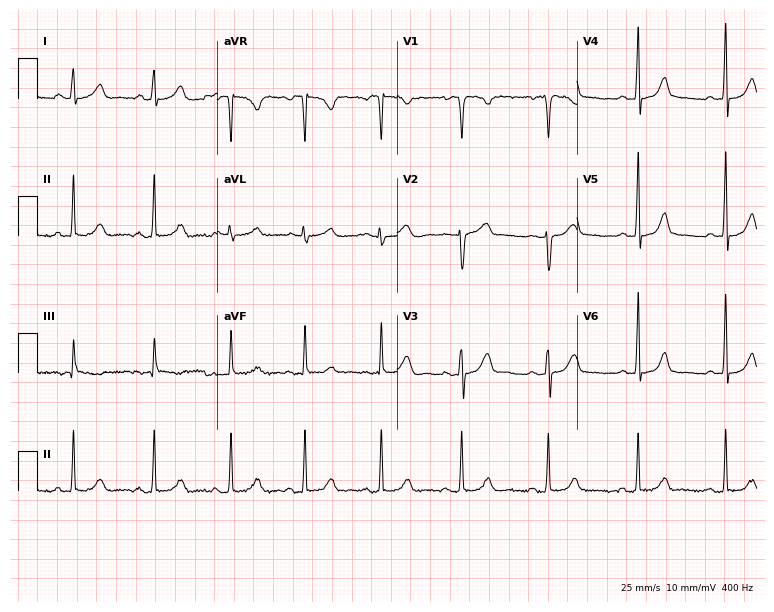
Electrocardiogram, a female, 35 years old. Overall reading on record: normal ECG.